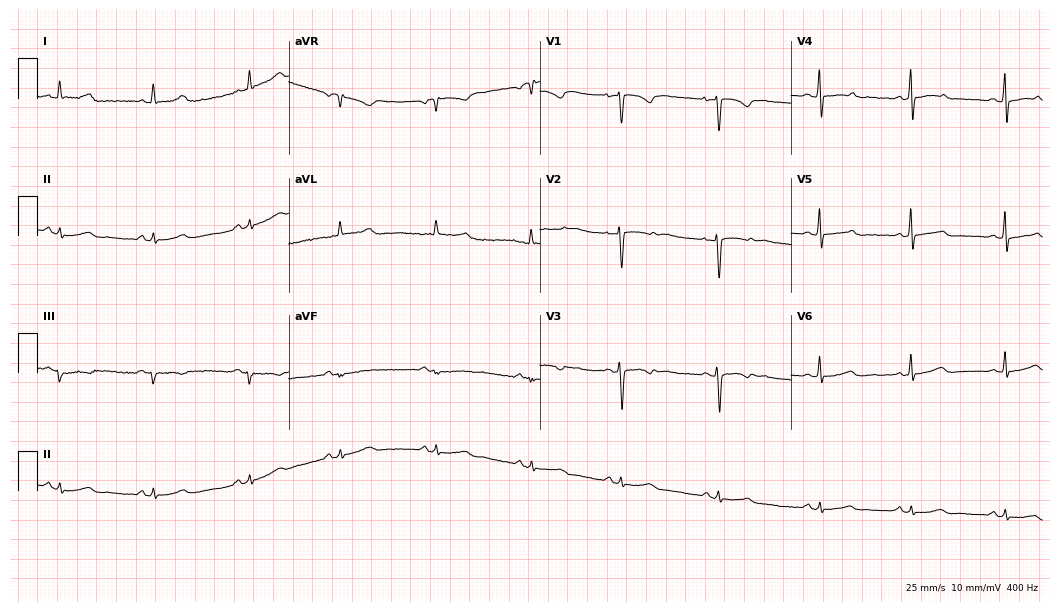
12-lead ECG from a woman, 30 years old (10.2-second recording at 400 Hz). No first-degree AV block, right bundle branch block, left bundle branch block, sinus bradycardia, atrial fibrillation or sinus tachycardia recorded for this tracing. Other findings, if any, are not listed.